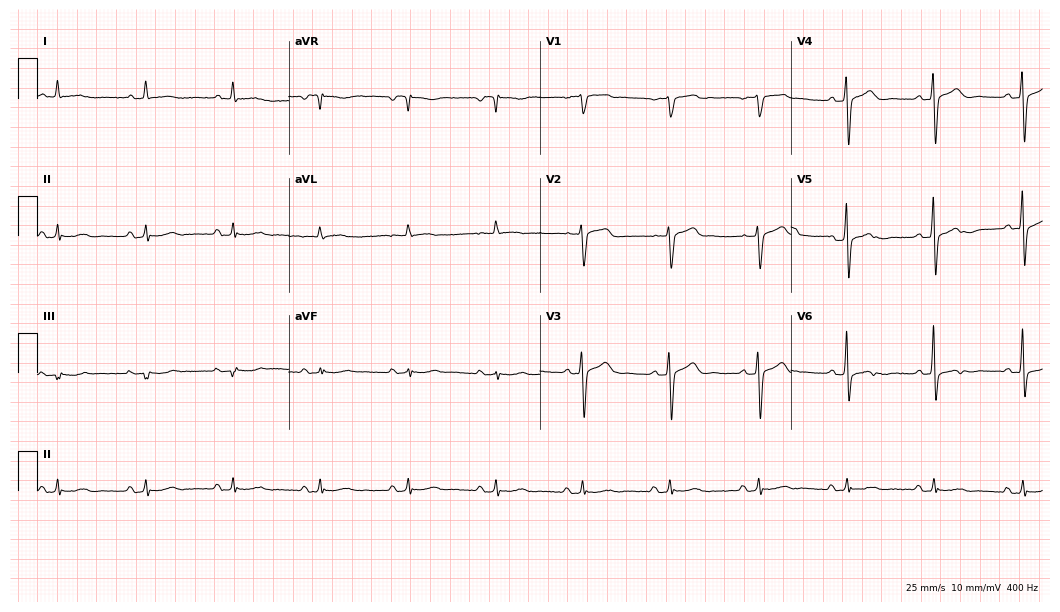
Standard 12-lead ECG recorded from a 71-year-old male (10.2-second recording at 400 Hz). None of these six findings is recorded: first-degree AV block, right bundle branch block, left bundle branch block, sinus bradycardia, atrial fibrillation, sinus tachycardia.